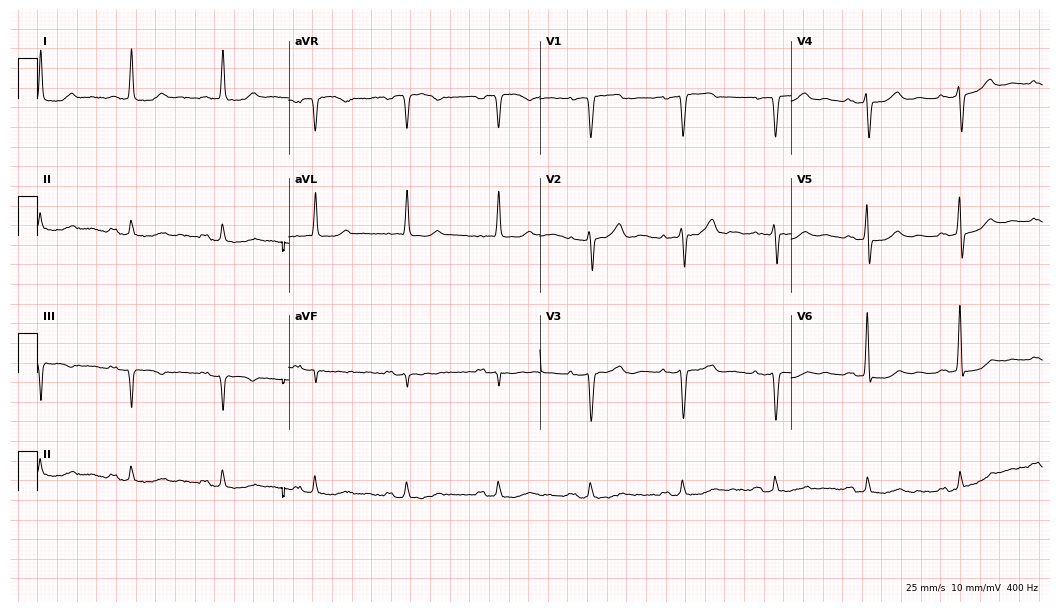
12-lead ECG from a woman, 71 years old. No first-degree AV block, right bundle branch block, left bundle branch block, sinus bradycardia, atrial fibrillation or sinus tachycardia recorded for this tracing.